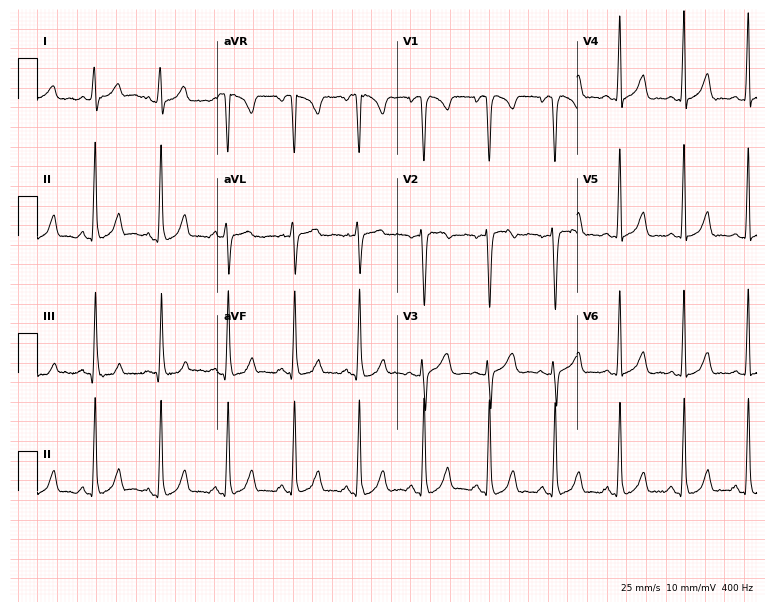
Electrocardiogram (7.3-second recording at 400 Hz), a 31-year-old woman. Overall reading on record: normal ECG.